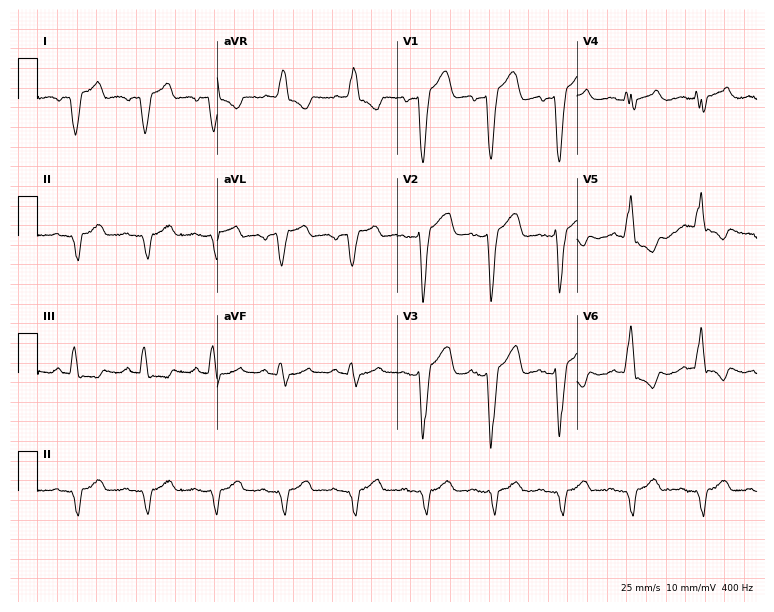
Resting 12-lead electrocardiogram (7.3-second recording at 400 Hz). Patient: an 85-year-old woman. None of these six findings is recorded: first-degree AV block, right bundle branch block, left bundle branch block, sinus bradycardia, atrial fibrillation, sinus tachycardia.